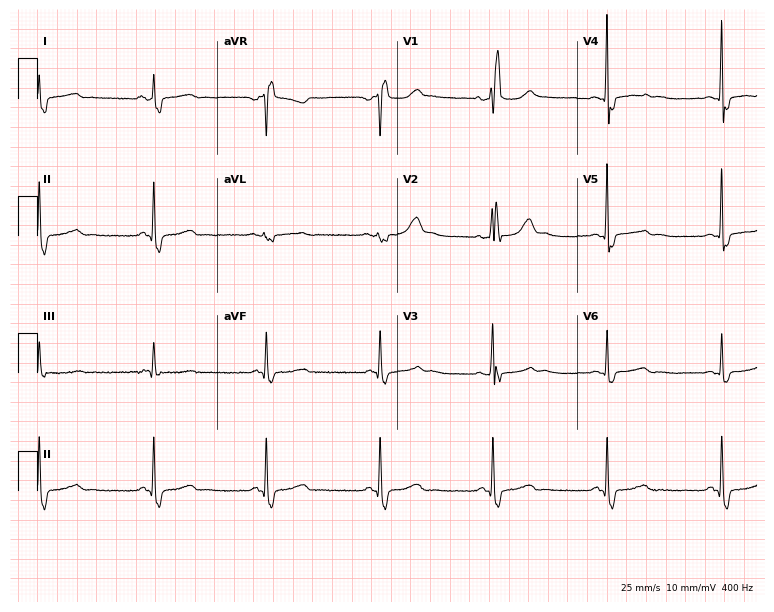
12-lead ECG from a female patient, 60 years old (7.3-second recording at 400 Hz). Shows right bundle branch block.